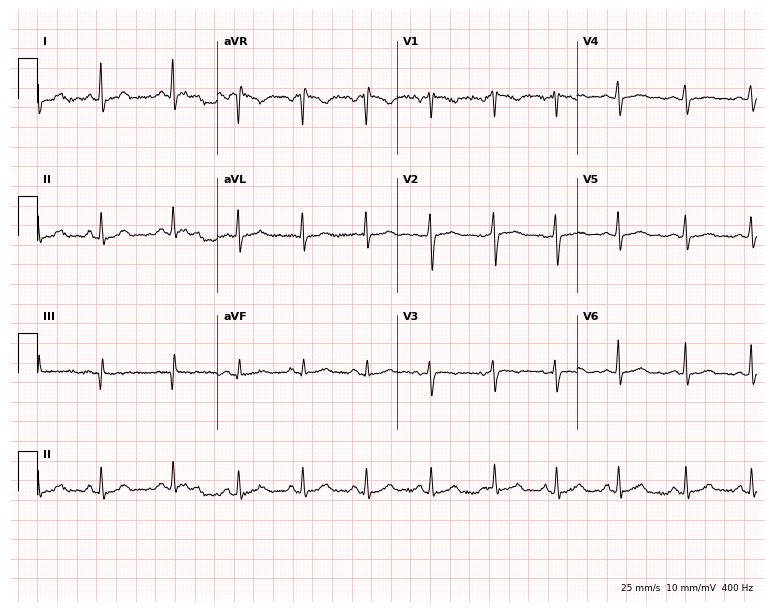
12-lead ECG (7.3-second recording at 400 Hz) from a 33-year-old female. Screened for six findings — first-degree AV block, right bundle branch block, left bundle branch block, sinus bradycardia, atrial fibrillation, sinus tachycardia — none is recorded. Other findings, if any, are not listed.